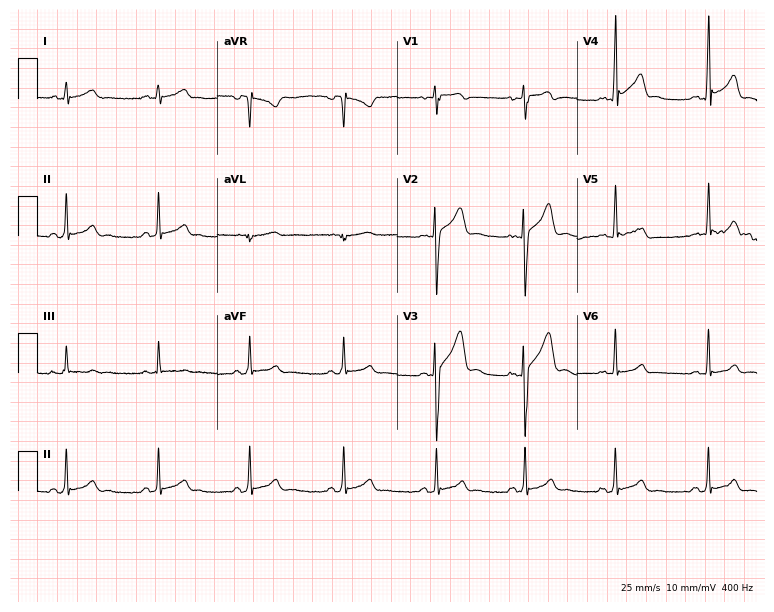
Electrocardiogram, a man, 25 years old. Overall reading on record: normal ECG.